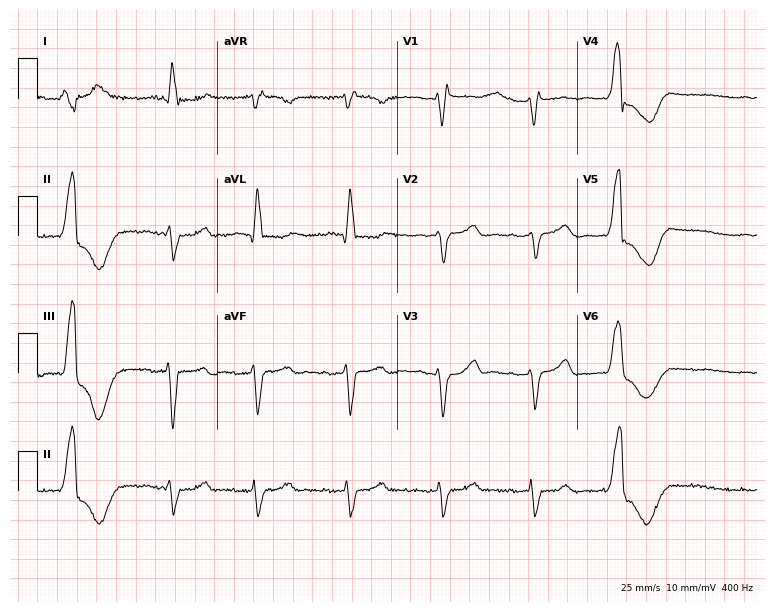
12-lead ECG (7.3-second recording at 400 Hz) from a male, 80 years old. Screened for six findings — first-degree AV block, right bundle branch block (RBBB), left bundle branch block (LBBB), sinus bradycardia, atrial fibrillation (AF), sinus tachycardia — none is recorded. Other findings, if any, are not listed.